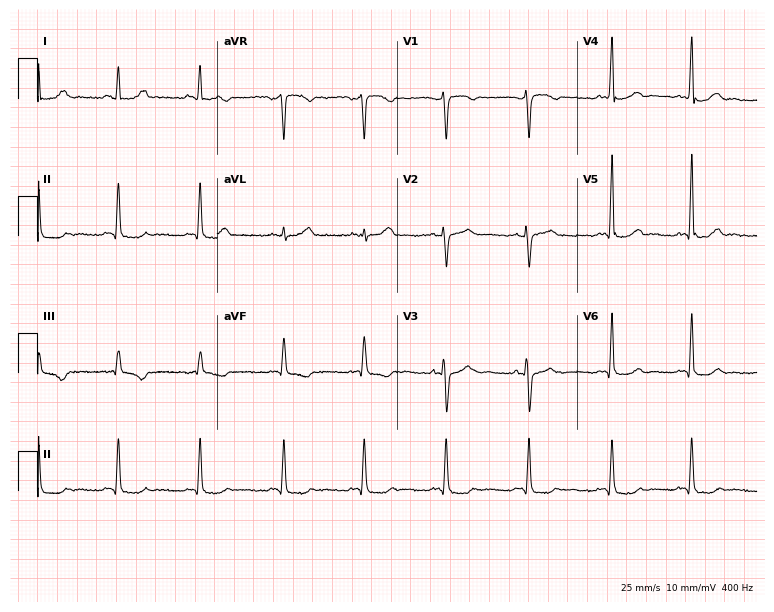
ECG — a 41-year-old female patient. Screened for six findings — first-degree AV block, right bundle branch block (RBBB), left bundle branch block (LBBB), sinus bradycardia, atrial fibrillation (AF), sinus tachycardia — none is recorded.